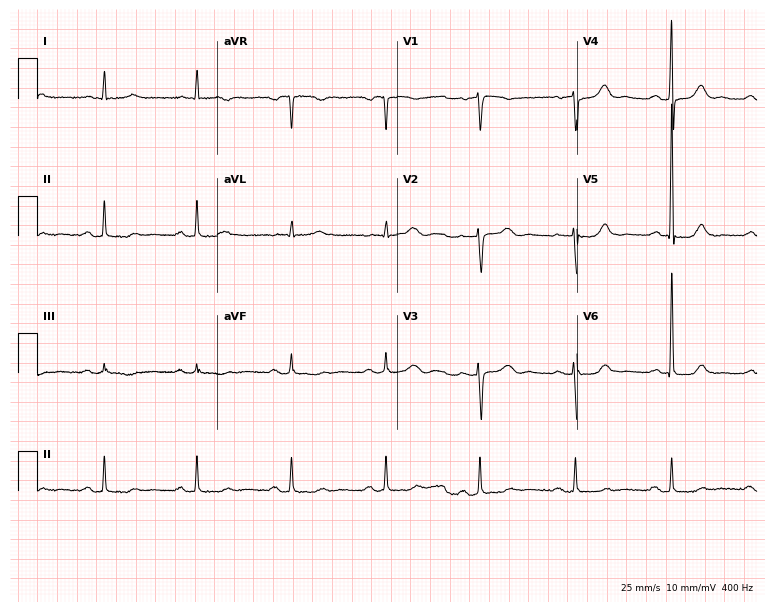
Resting 12-lead electrocardiogram. Patient: a female, 73 years old. None of these six findings is recorded: first-degree AV block, right bundle branch block (RBBB), left bundle branch block (LBBB), sinus bradycardia, atrial fibrillation (AF), sinus tachycardia.